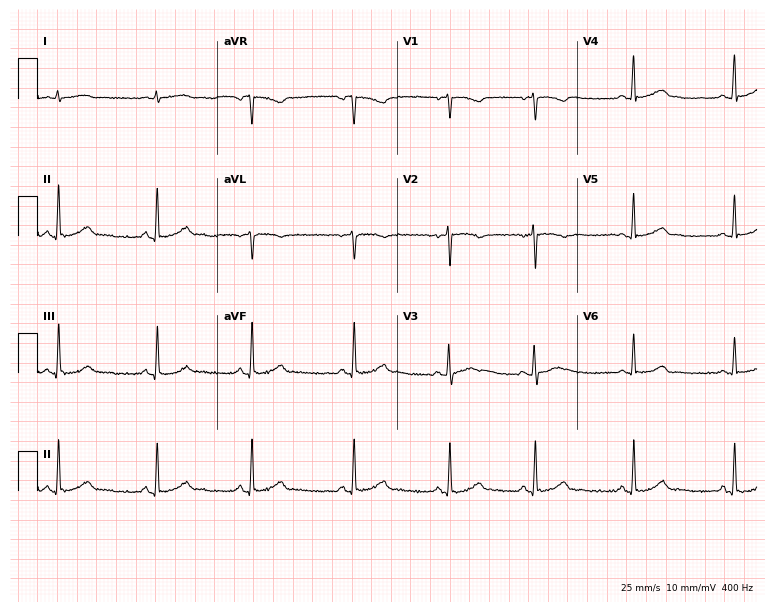
12-lead ECG from a 25-year-old female. Screened for six findings — first-degree AV block, right bundle branch block, left bundle branch block, sinus bradycardia, atrial fibrillation, sinus tachycardia — none is recorded.